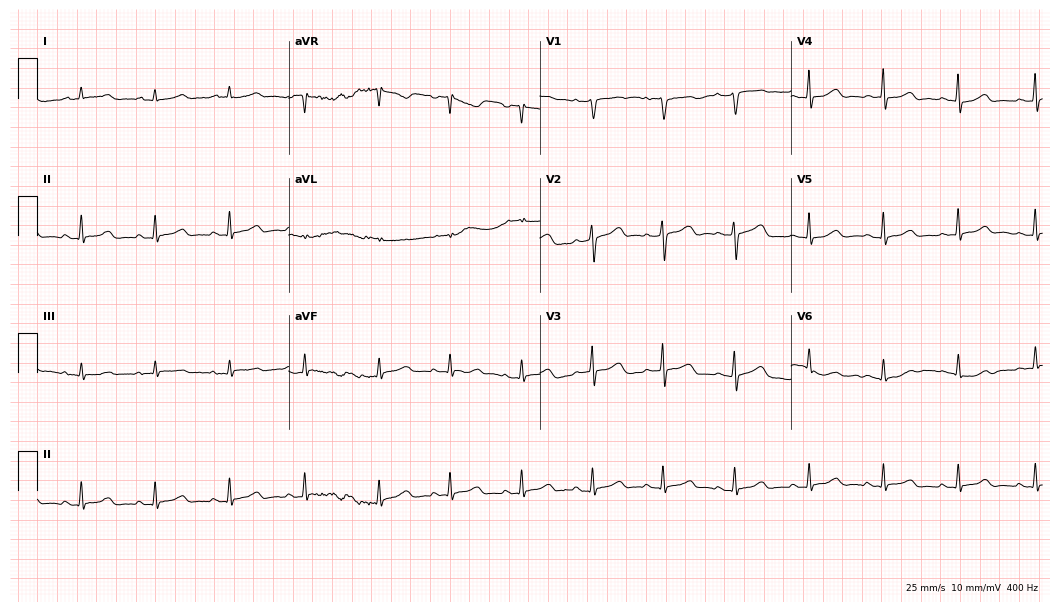
Standard 12-lead ECG recorded from a 30-year-old female (10.2-second recording at 400 Hz). None of these six findings is recorded: first-degree AV block, right bundle branch block, left bundle branch block, sinus bradycardia, atrial fibrillation, sinus tachycardia. Only these six findings were labelled.